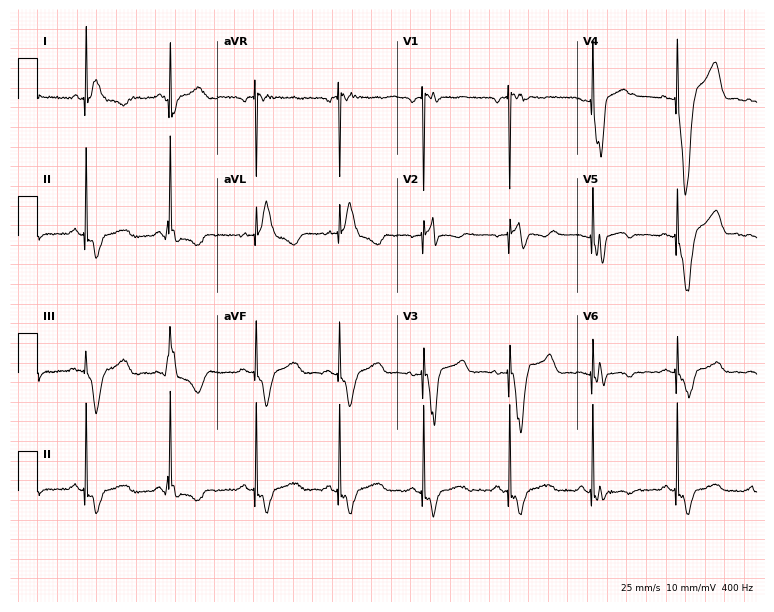
12-lead ECG (7.3-second recording at 400 Hz) from a male, 49 years old. Screened for six findings — first-degree AV block, right bundle branch block, left bundle branch block, sinus bradycardia, atrial fibrillation, sinus tachycardia — none is recorded. Other findings, if any, are not listed.